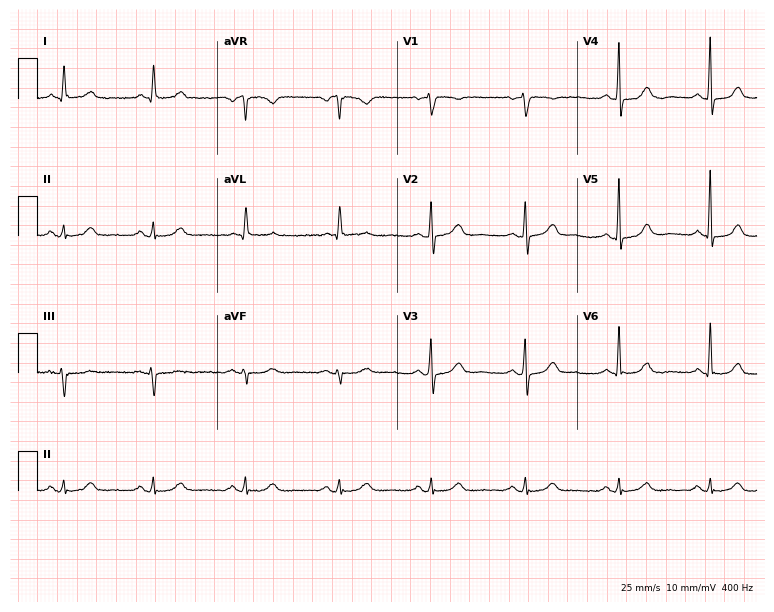
Standard 12-lead ECG recorded from an 81-year-old female patient (7.3-second recording at 400 Hz). Read as a normal ECG.